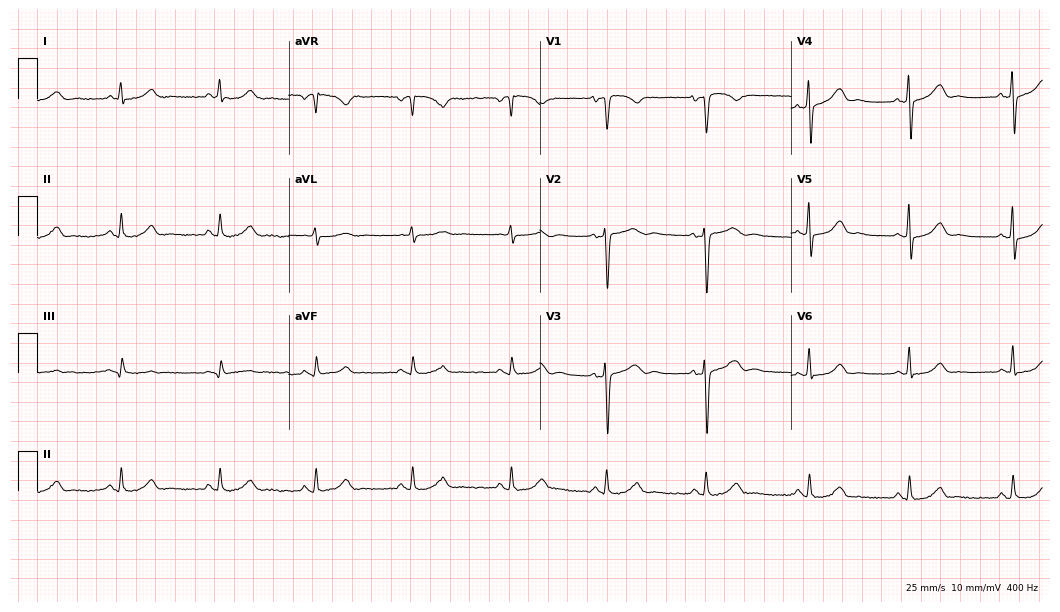
12-lead ECG (10.2-second recording at 400 Hz) from a female, 45 years old. Labelled as a normal ECG.